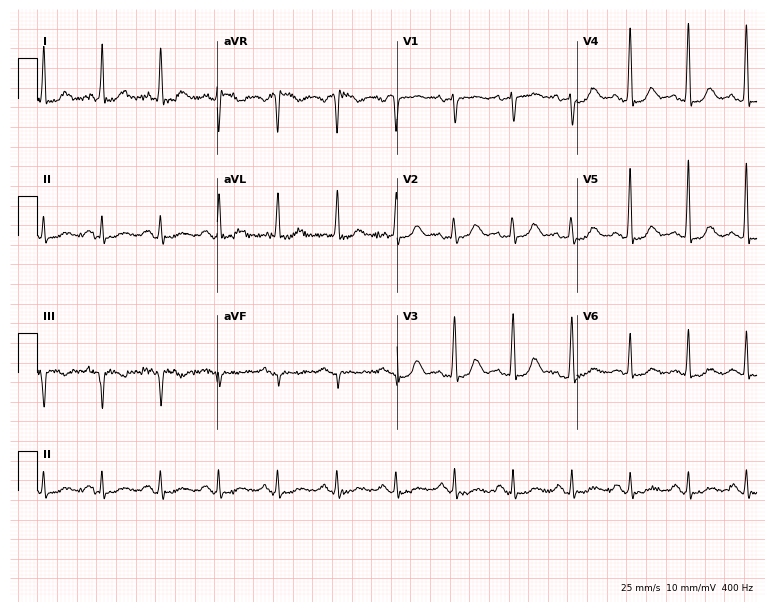
Electrocardiogram, a woman, 62 years old. Of the six screened findings (first-degree AV block, right bundle branch block (RBBB), left bundle branch block (LBBB), sinus bradycardia, atrial fibrillation (AF), sinus tachycardia), none is recorded.